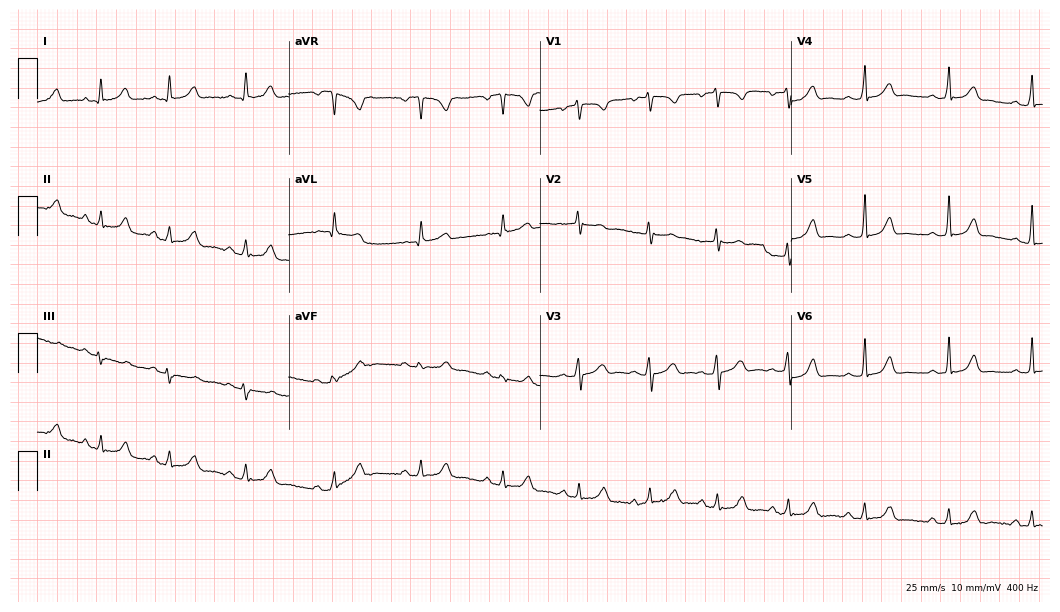
Resting 12-lead electrocardiogram (10.2-second recording at 400 Hz). Patient: a woman, 26 years old. Read as a normal ECG.